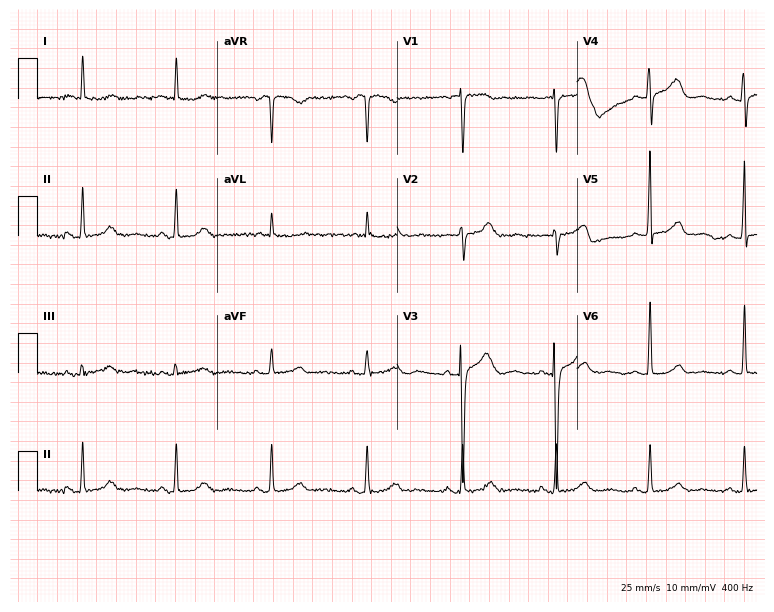
Electrocardiogram, a female patient, 76 years old. Of the six screened findings (first-degree AV block, right bundle branch block (RBBB), left bundle branch block (LBBB), sinus bradycardia, atrial fibrillation (AF), sinus tachycardia), none is recorded. Only these six findings were labelled.